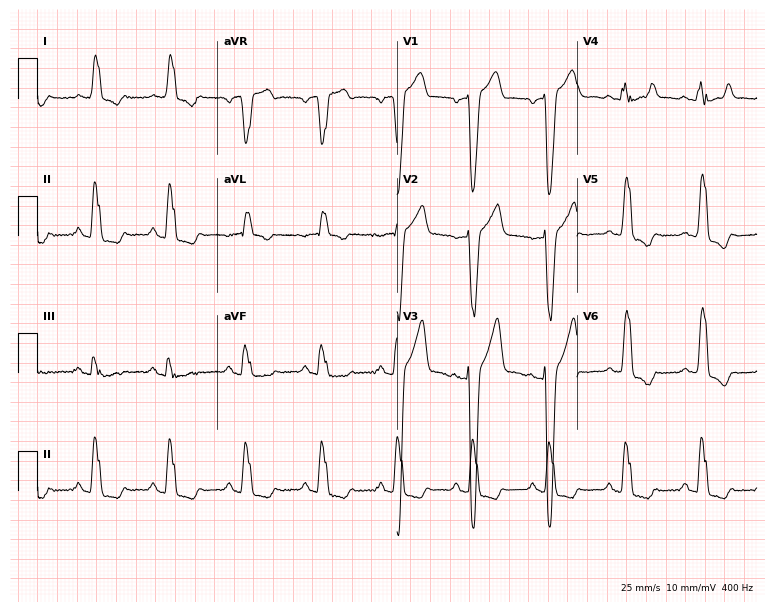
12-lead ECG from a 68-year-old man. Findings include left bundle branch block (LBBB).